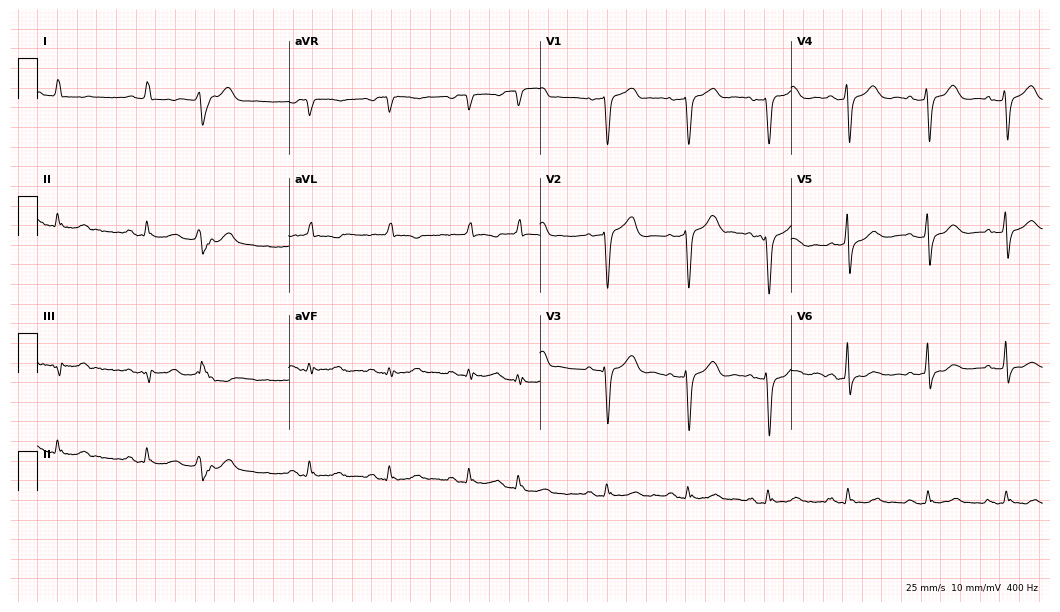
ECG — a male patient, 85 years old. Screened for six findings — first-degree AV block, right bundle branch block, left bundle branch block, sinus bradycardia, atrial fibrillation, sinus tachycardia — none is recorded. Other findings, if any, are not listed.